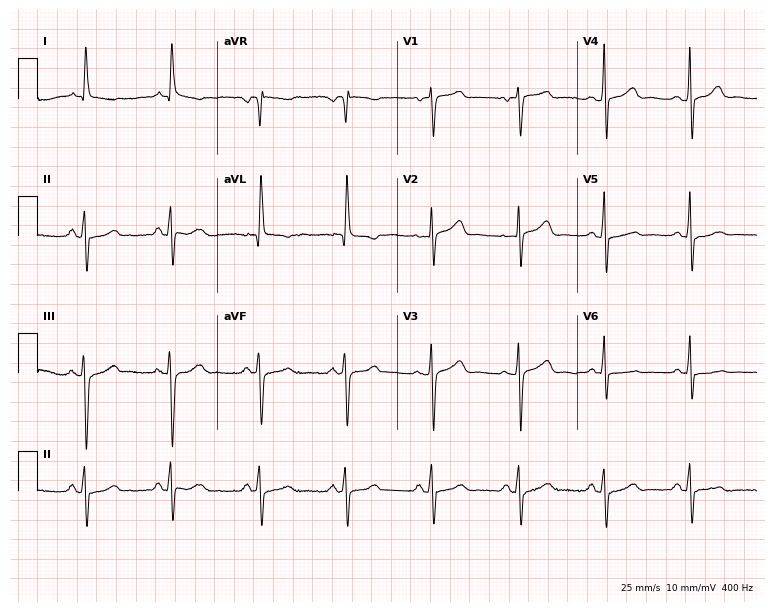
Standard 12-lead ECG recorded from a woman, 76 years old (7.3-second recording at 400 Hz). None of these six findings is recorded: first-degree AV block, right bundle branch block (RBBB), left bundle branch block (LBBB), sinus bradycardia, atrial fibrillation (AF), sinus tachycardia. Findings outside these six are not listed.